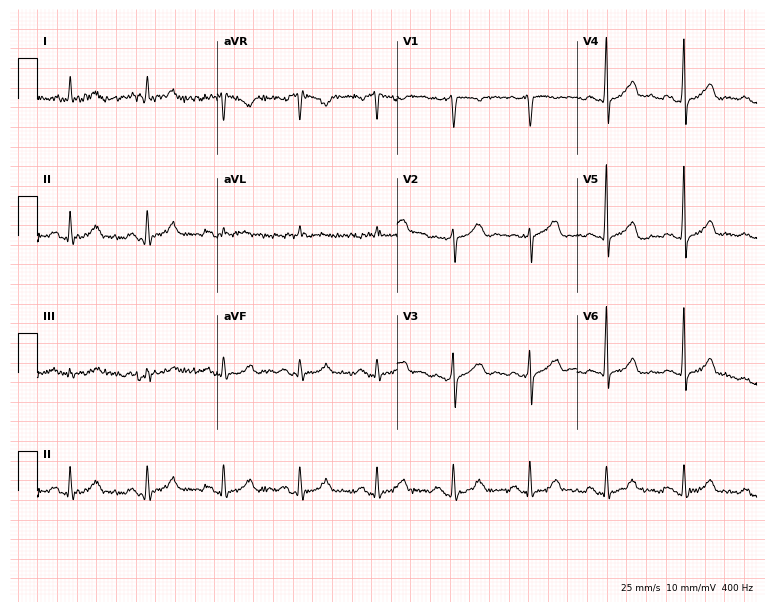
12-lead ECG from a man, 62 years old (7.3-second recording at 400 Hz). Recorded interpretation: within normal limits.